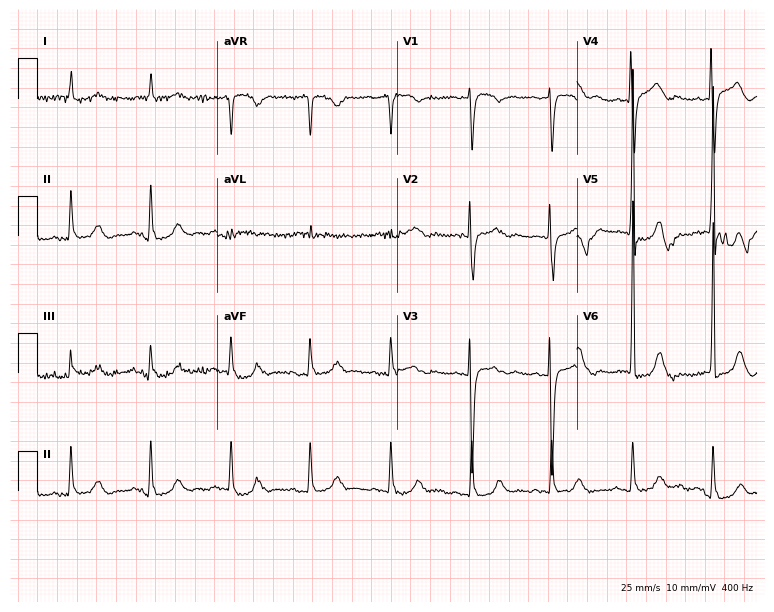
Electrocardiogram, an 81-year-old female. Of the six screened findings (first-degree AV block, right bundle branch block, left bundle branch block, sinus bradycardia, atrial fibrillation, sinus tachycardia), none is recorded. Findings outside these six are not listed.